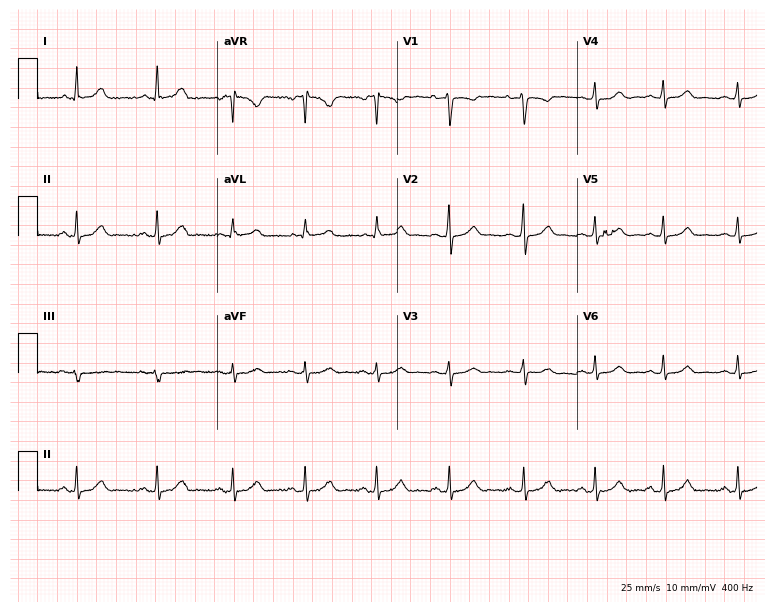
Resting 12-lead electrocardiogram. Patient: a 30-year-old female. Read as a normal ECG.